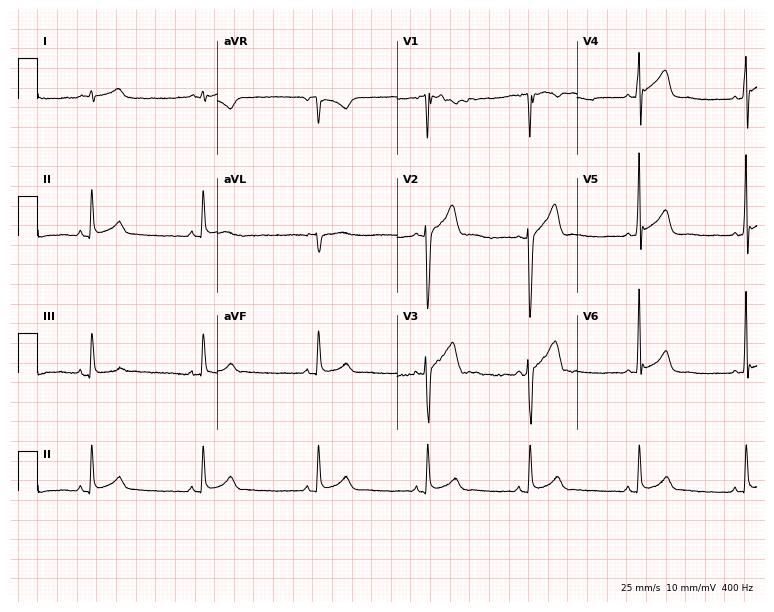
Electrocardiogram (7.3-second recording at 400 Hz), a man, 43 years old. Of the six screened findings (first-degree AV block, right bundle branch block (RBBB), left bundle branch block (LBBB), sinus bradycardia, atrial fibrillation (AF), sinus tachycardia), none is recorded.